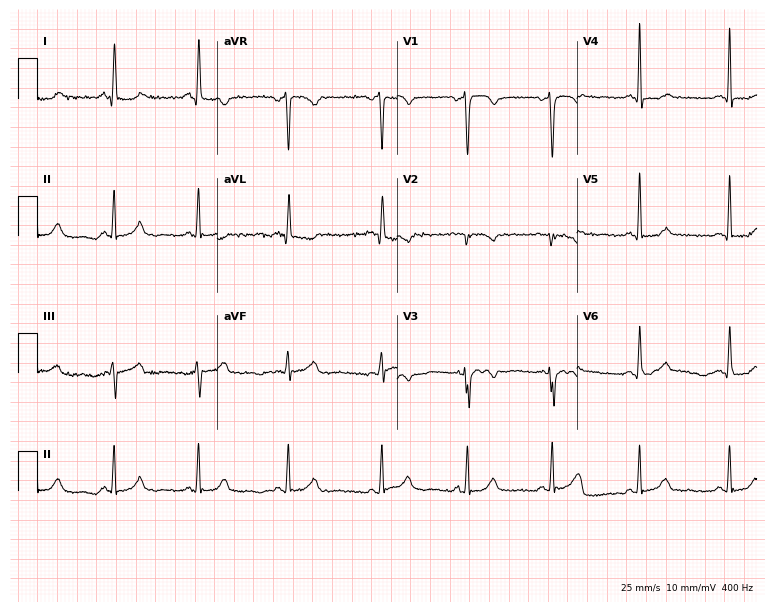
12-lead ECG from a 47-year-old female. No first-degree AV block, right bundle branch block, left bundle branch block, sinus bradycardia, atrial fibrillation or sinus tachycardia recorded for this tracing.